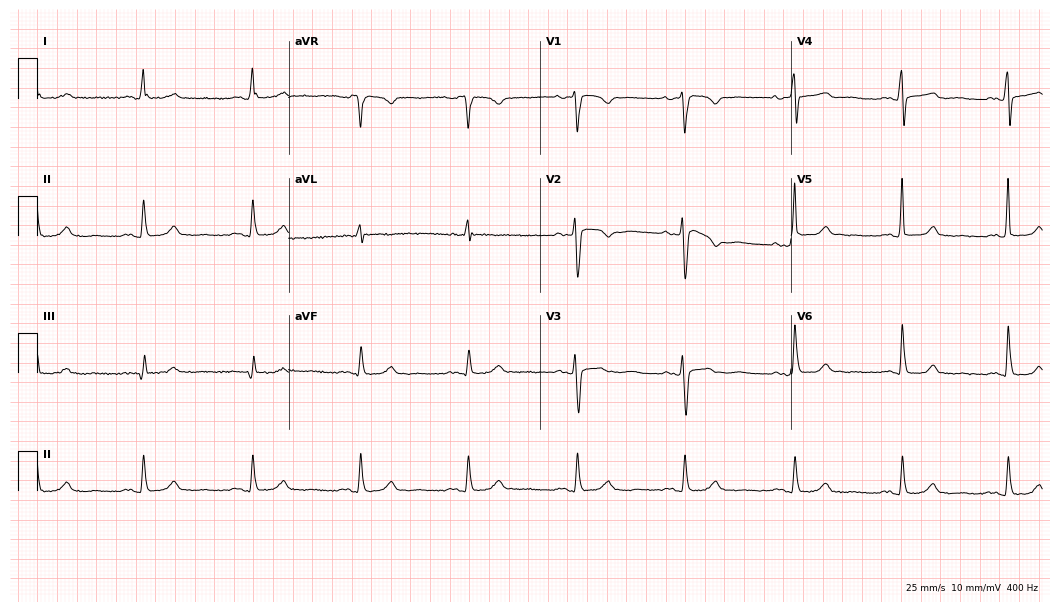
12-lead ECG from a 71-year-old female. No first-degree AV block, right bundle branch block, left bundle branch block, sinus bradycardia, atrial fibrillation or sinus tachycardia recorded for this tracing. Findings outside these six are not listed.